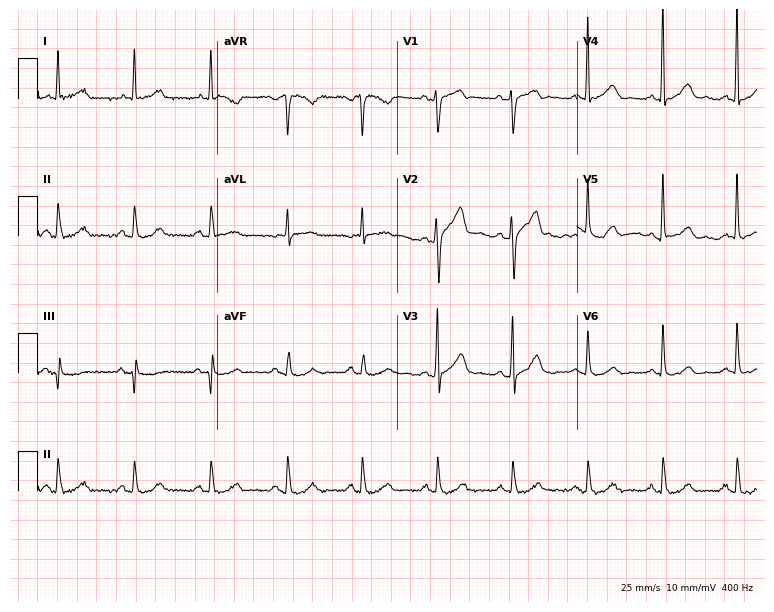
Resting 12-lead electrocardiogram (7.3-second recording at 400 Hz). Patient: a 64-year-old male. Read as a normal ECG.